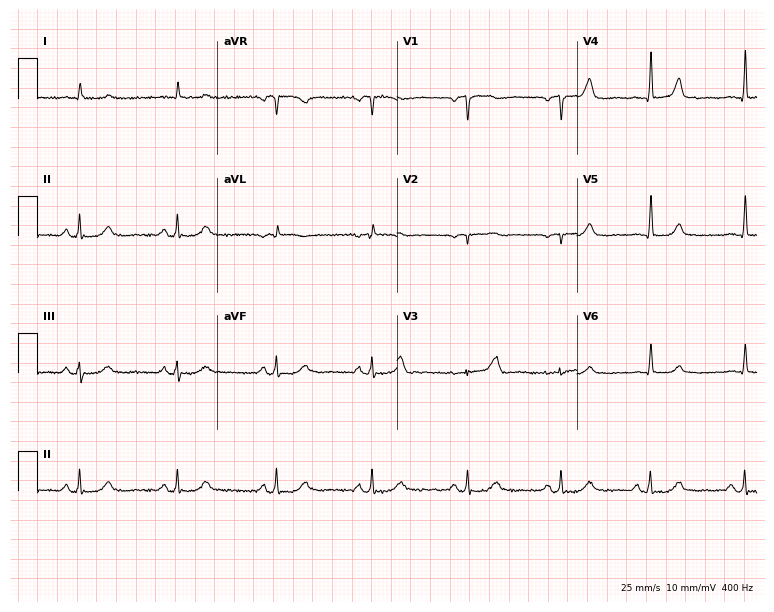
Resting 12-lead electrocardiogram (7.3-second recording at 400 Hz). Patient: a male, 83 years old. None of these six findings is recorded: first-degree AV block, right bundle branch block, left bundle branch block, sinus bradycardia, atrial fibrillation, sinus tachycardia.